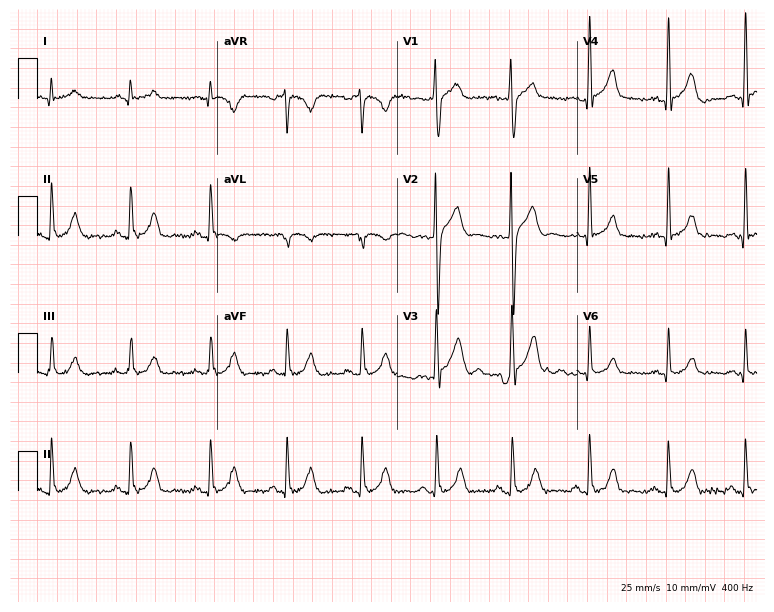
Standard 12-lead ECG recorded from a man, 38 years old (7.3-second recording at 400 Hz). Read as a normal ECG.